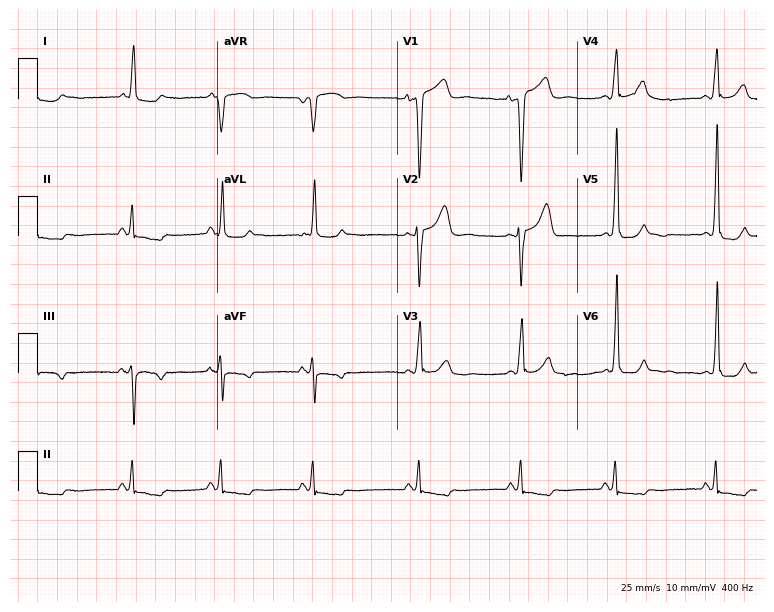
12-lead ECG from a 73-year-old man (7.3-second recording at 400 Hz). No first-degree AV block, right bundle branch block (RBBB), left bundle branch block (LBBB), sinus bradycardia, atrial fibrillation (AF) or sinus tachycardia recorded for this tracing.